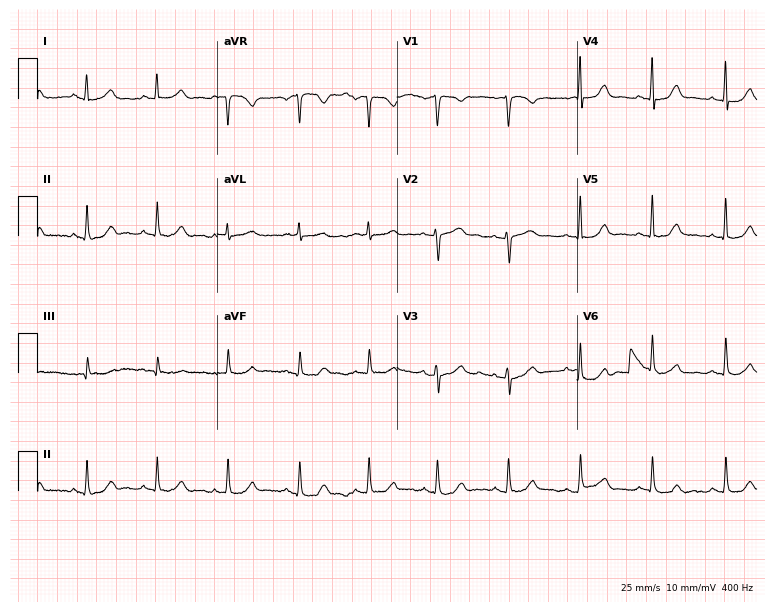
Standard 12-lead ECG recorded from a woman, 49 years old (7.3-second recording at 400 Hz). Read as a normal ECG.